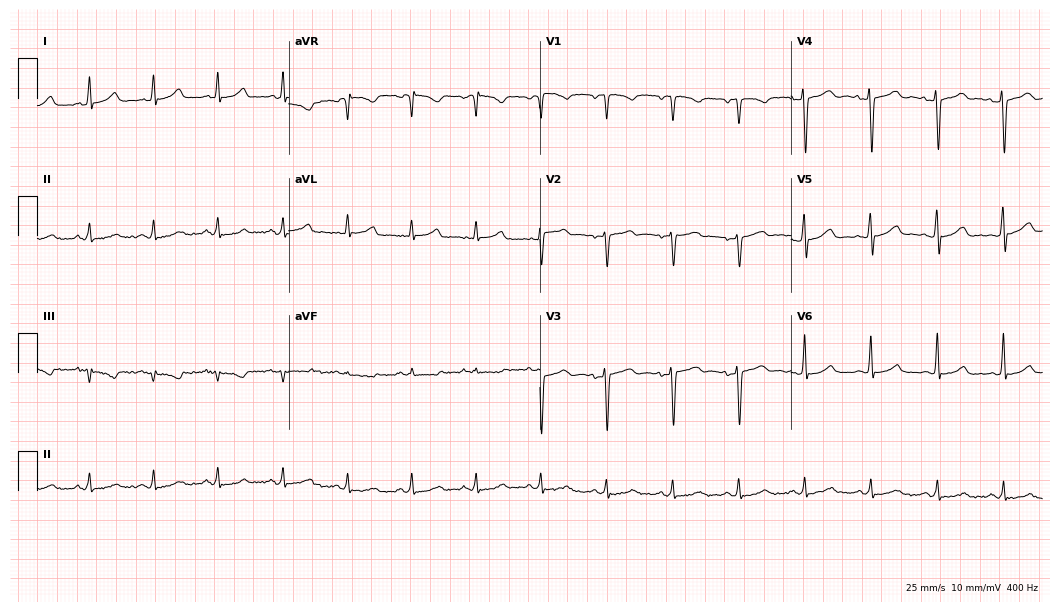
12-lead ECG (10.2-second recording at 400 Hz) from a woman, 51 years old. Labelled as a normal ECG.